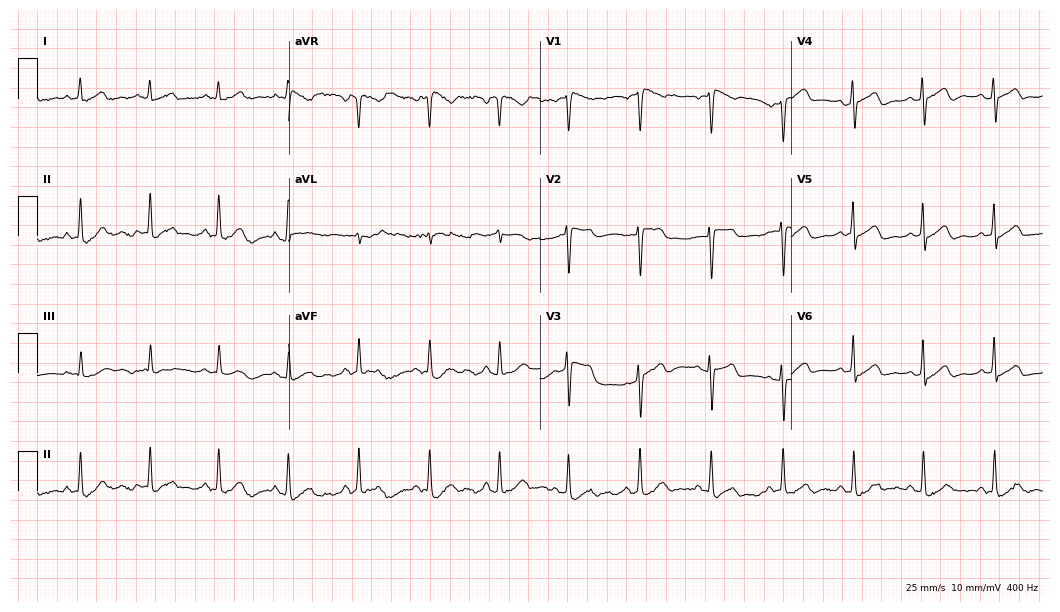
Standard 12-lead ECG recorded from a man, 69 years old (10.2-second recording at 400 Hz). Read as a normal ECG.